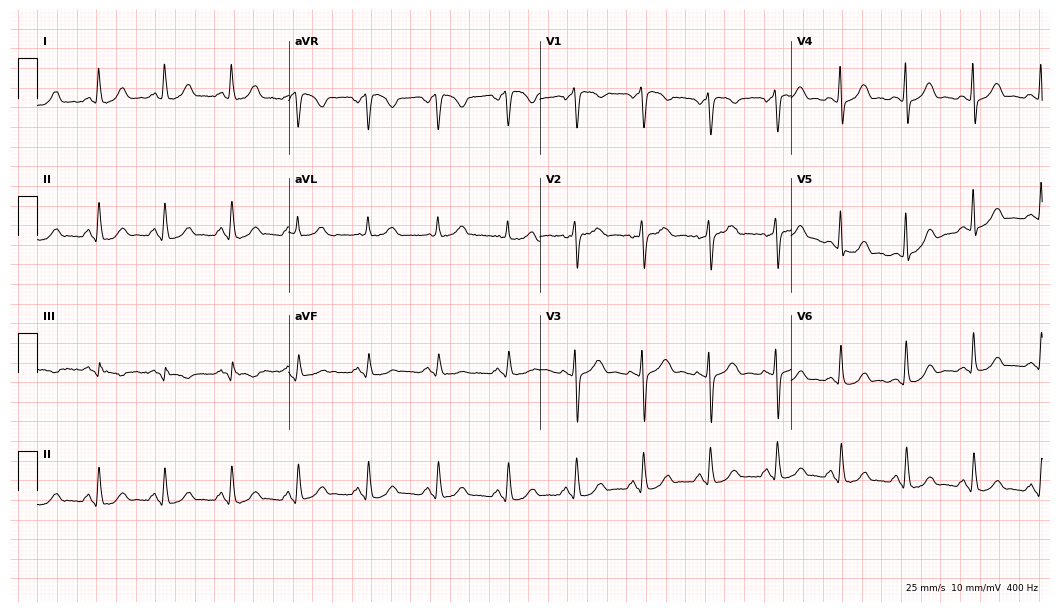
ECG (10.2-second recording at 400 Hz) — a 48-year-old woman. Labelled as a normal ECG.